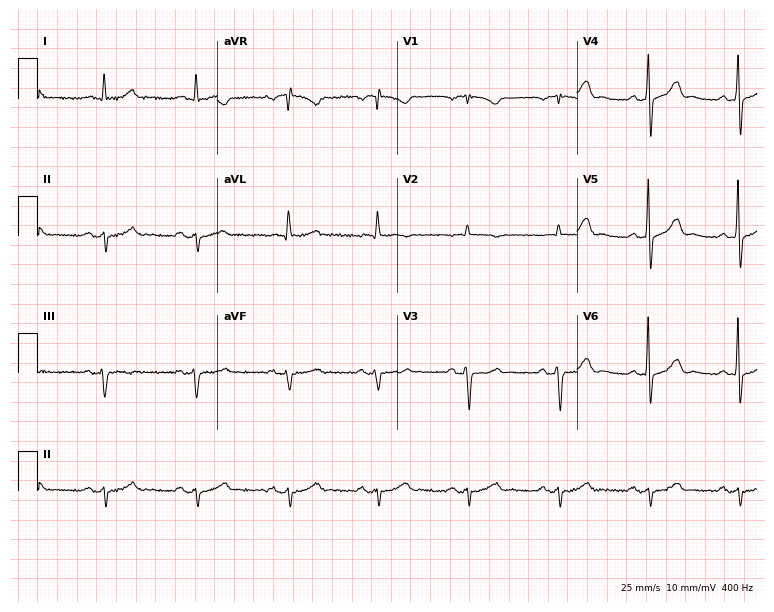
Resting 12-lead electrocardiogram. Patient: a male, 72 years old. None of these six findings is recorded: first-degree AV block, right bundle branch block, left bundle branch block, sinus bradycardia, atrial fibrillation, sinus tachycardia. Other findings, if any, are not listed.